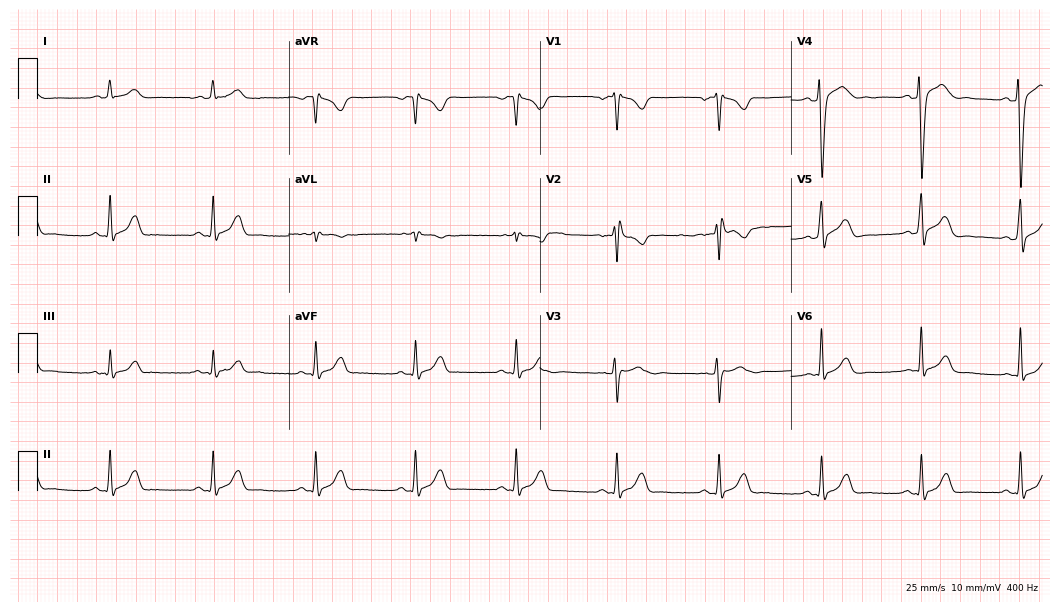
Resting 12-lead electrocardiogram. Patient: a man, 34 years old. None of these six findings is recorded: first-degree AV block, right bundle branch block, left bundle branch block, sinus bradycardia, atrial fibrillation, sinus tachycardia. Other findings, if any, are not listed.